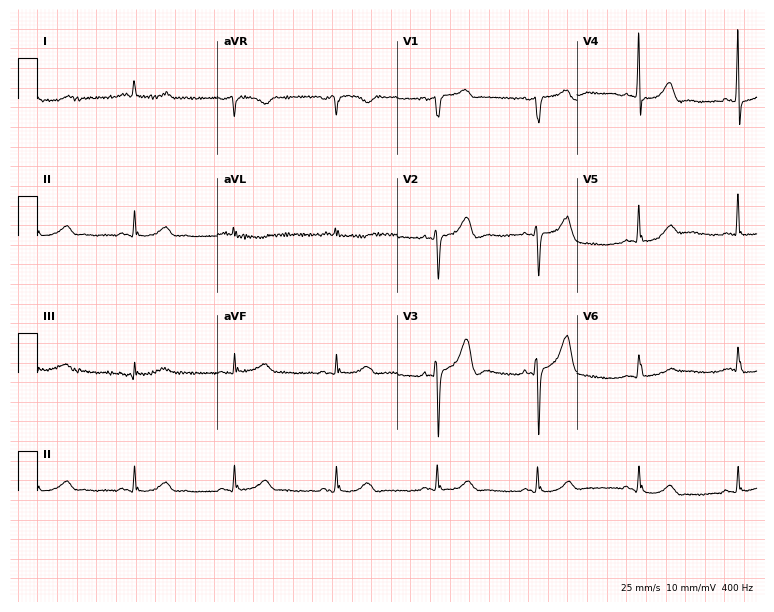
12-lead ECG from a woman, 77 years old (7.3-second recording at 400 Hz). Recorded interpretation: within normal limits.